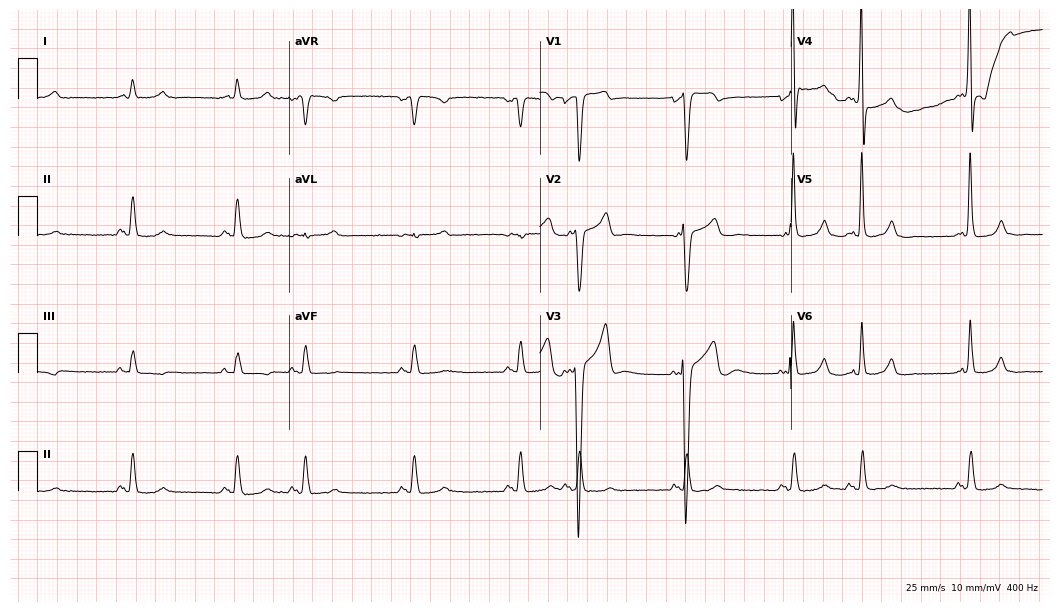
12-lead ECG from a 79-year-old male patient (10.2-second recording at 400 Hz). No first-degree AV block, right bundle branch block, left bundle branch block, sinus bradycardia, atrial fibrillation or sinus tachycardia recorded for this tracing.